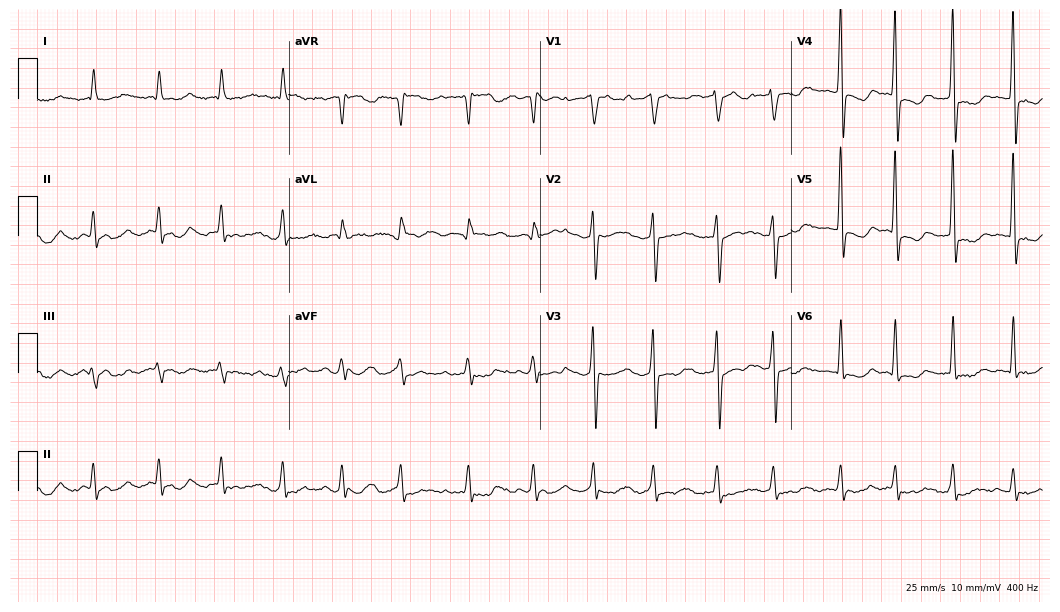
Resting 12-lead electrocardiogram. Patient: a male, 61 years old. The tracing shows atrial fibrillation.